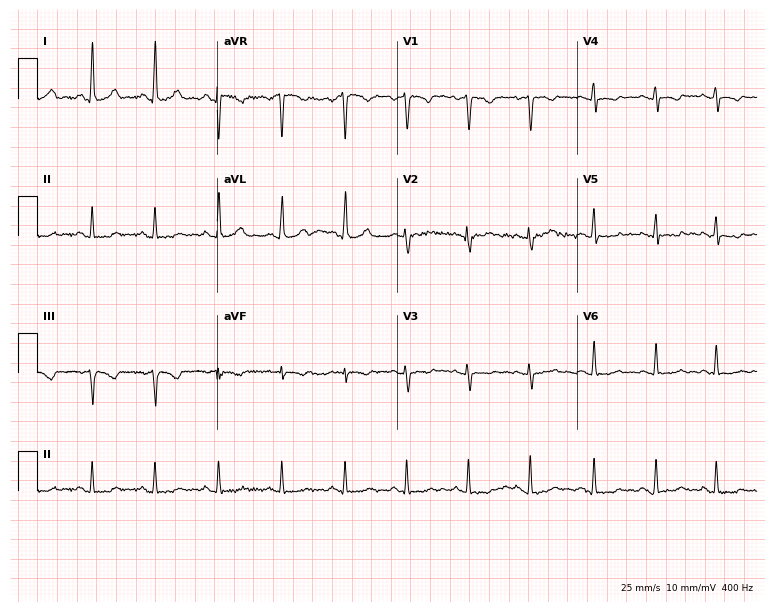
12-lead ECG (7.3-second recording at 400 Hz) from a 36-year-old female. Screened for six findings — first-degree AV block, right bundle branch block, left bundle branch block, sinus bradycardia, atrial fibrillation, sinus tachycardia — none is recorded.